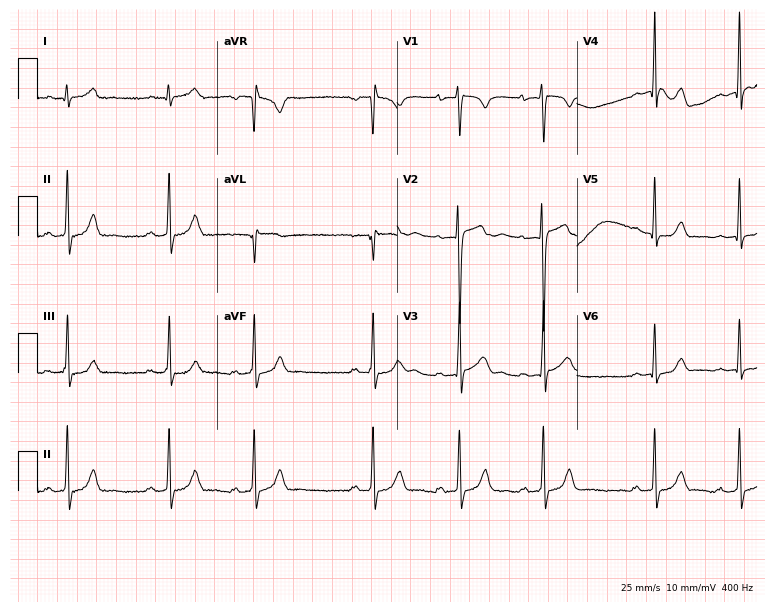
Electrocardiogram, a man, 18 years old. Overall reading on record: normal ECG.